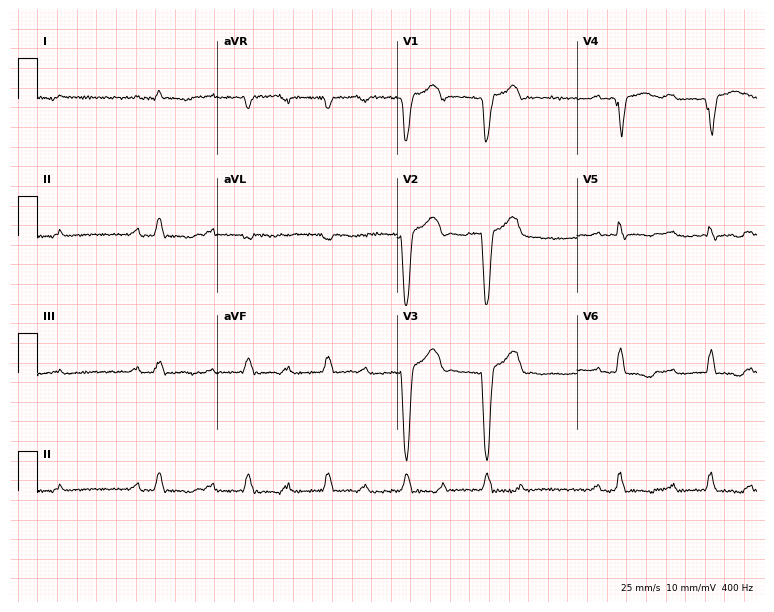
12-lead ECG from a 59-year-old man. No first-degree AV block, right bundle branch block (RBBB), left bundle branch block (LBBB), sinus bradycardia, atrial fibrillation (AF) or sinus tachycardia recorded for this tracing. Findings outside these six are not listed.